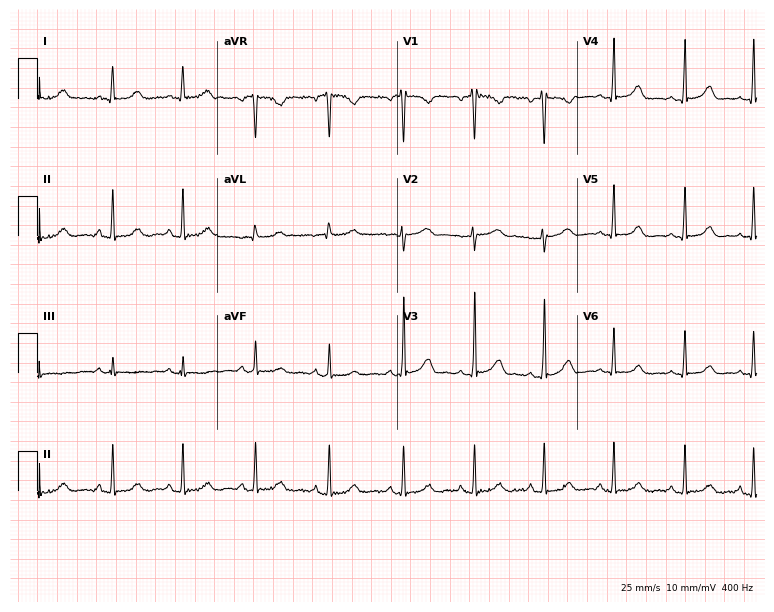
12-lead ECG from a female patient, 21 years old (7.3-second recording at 400 Hz). Recorded interpretation: within normal limits.